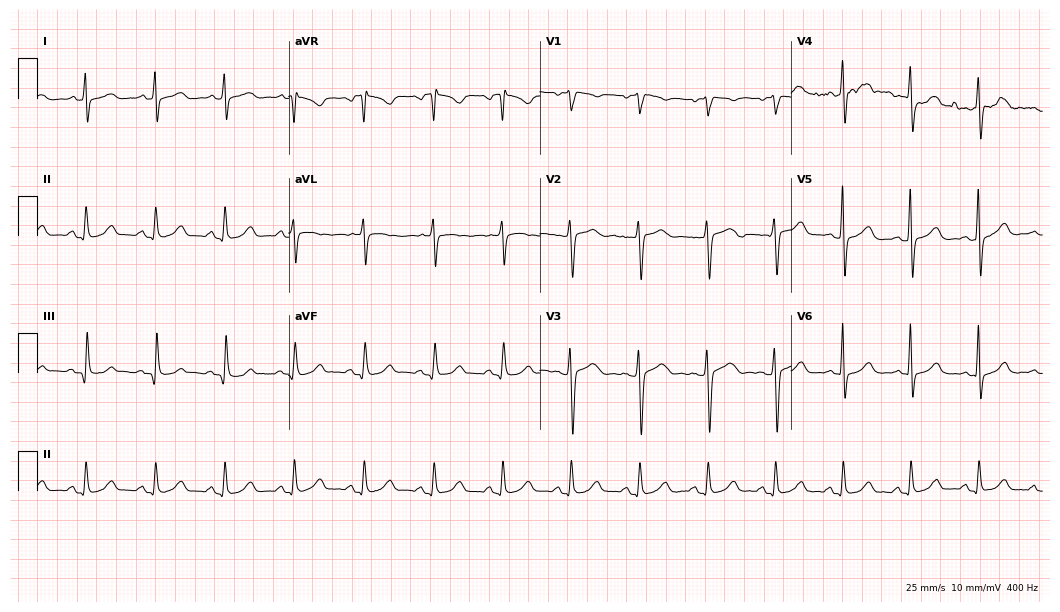
Electrocardiogram (10.2-second recording at 400 Hz), a 54-year-old female. Overall reading on record: normal ECG.